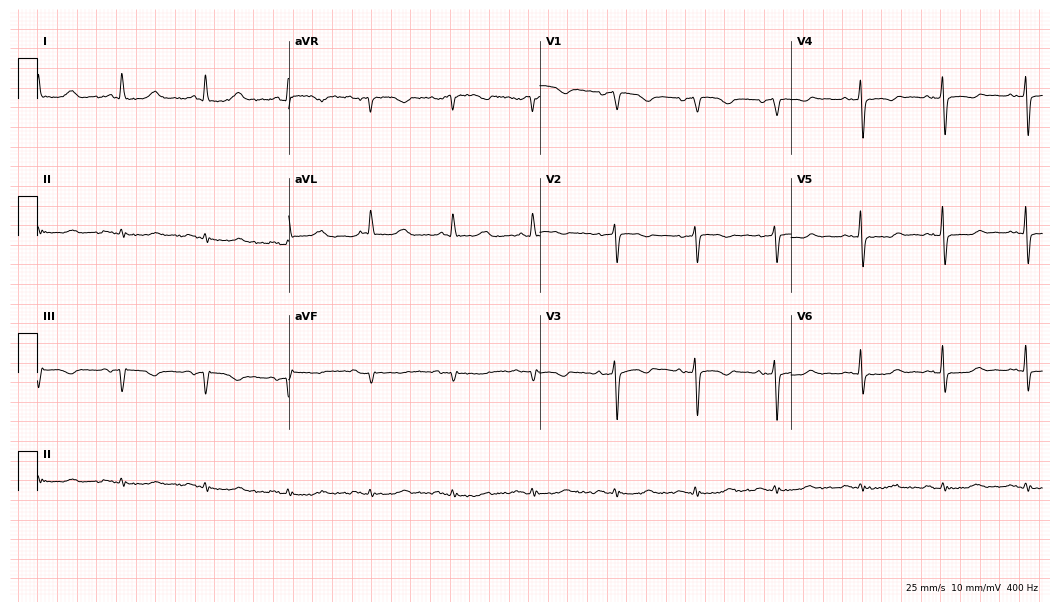
Resting 12-lead electrocardiogram (10.2-second recording at 400 Hz). Patient: a 79-year-old female. Read as a normal ECG.